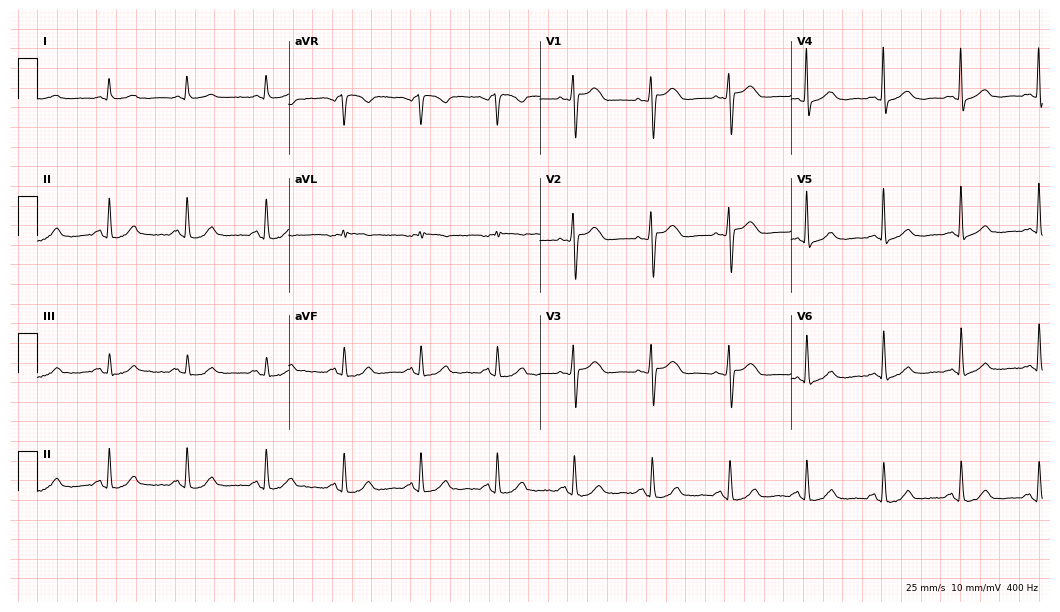
Resting 12-lead electrocardiogram. Patient: a female, 63 years old. Read as a normal ECG.